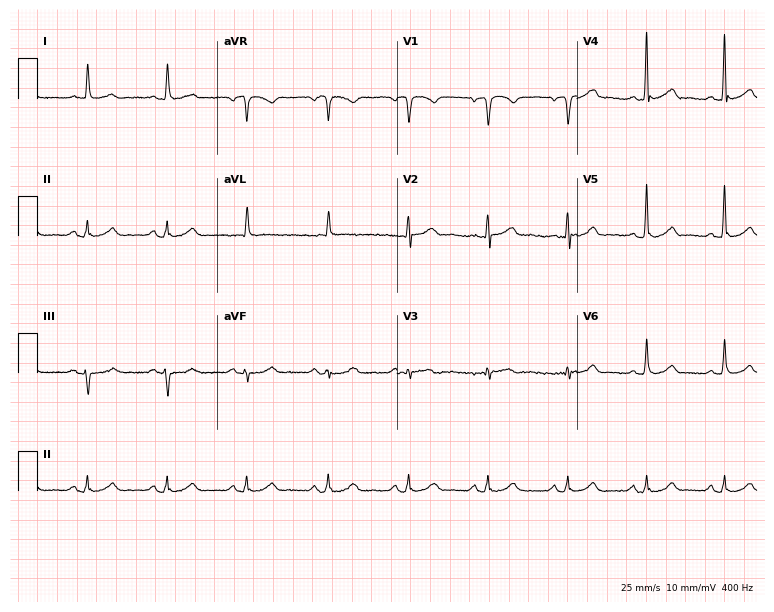
Resting 12-lead electrocardiogram (7.3-second recording at 400 Hz). Patient: a 71-year-old man. Read as a normal ECG.